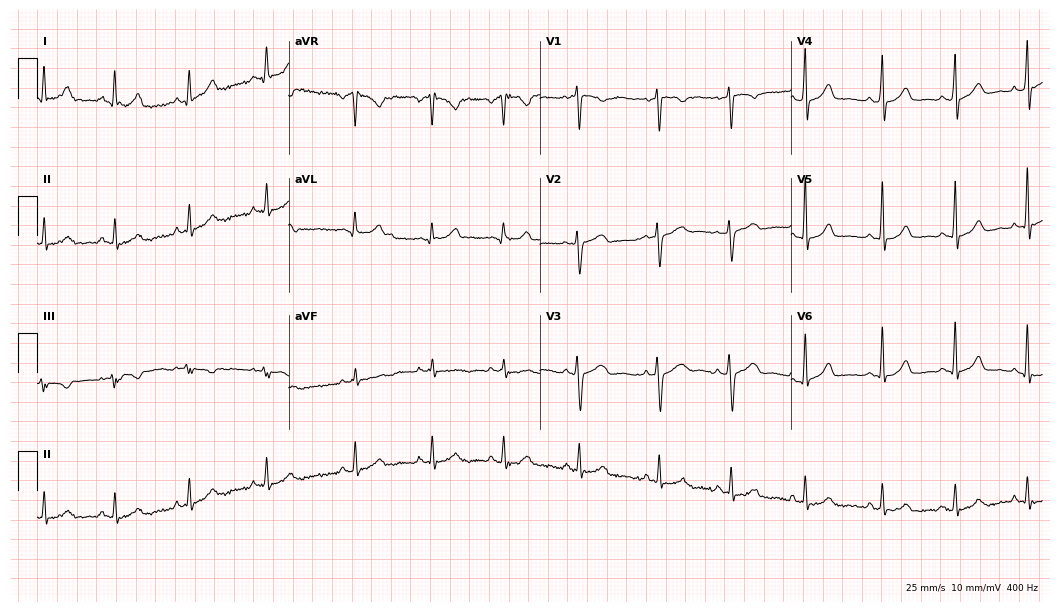
Standard 12-lead ECG recorded from a 25-year-old female. None of these six findings is recorded: first-degree AV block, right bundle branch block (RBBB), left bundle branch block (LBBB), sinus bradycardia, atrial fibrillation (AF), sinus tachycardia.